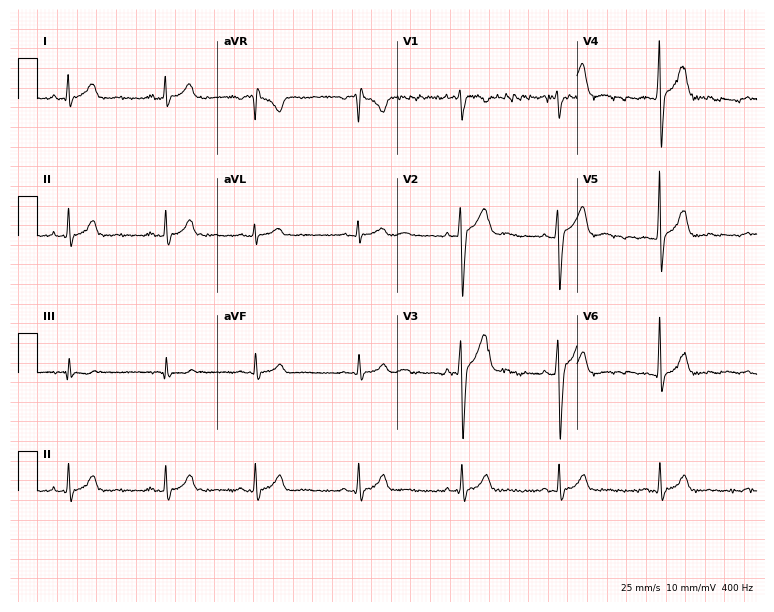
Resting 12-lead electrocardiogram (7.3-second recording at 400 Hz). Patient: a woman, 22 years old. None of these six findings is recorded: first-degree AV block, right bundle branch block, left bundle branch block, sinus bradycardia, atrial fibrillation, sinus tachycardia. Findings outside these six are not listed.